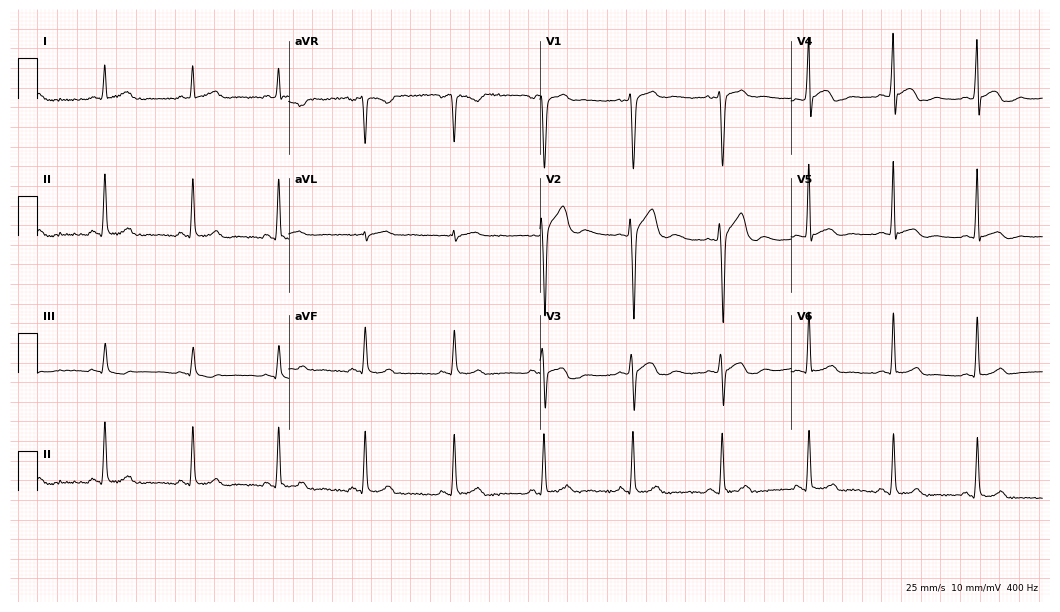
Electrocardiogram (10.2-second recording at 400 Hz), a 44-year-old male. Of the six screened findings (first-degree AV block, right bundle branch block, left bundle branch block, sinus bradycardia, atrial fibrillation, sinus tachycardia), none is recorded.